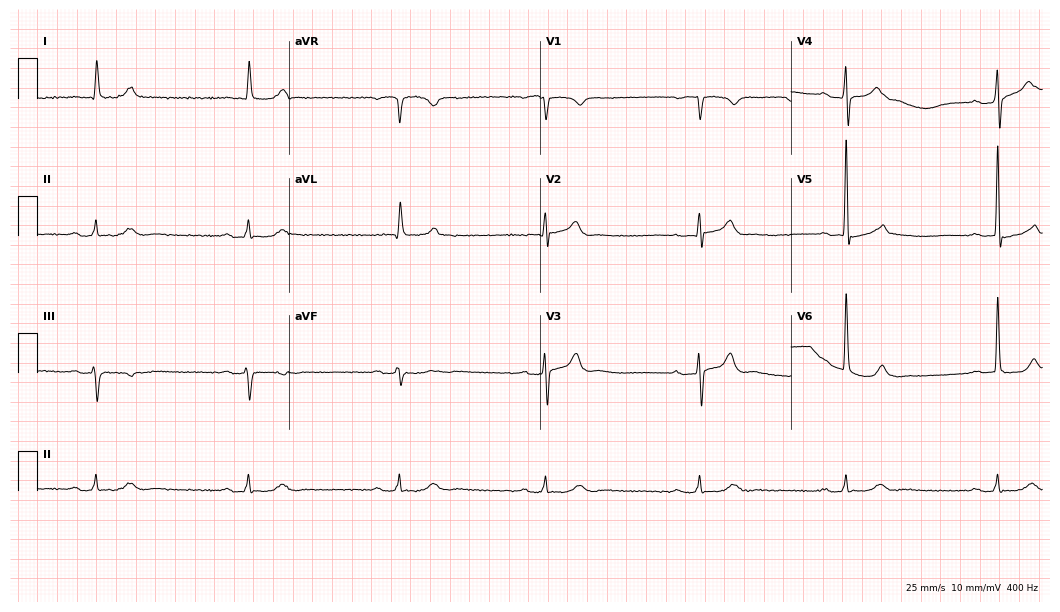
Resting 12-lead electrocardiogram (10.2-second recording at 400 Hz). Patient: an 85-year-old male. The tracing shows first-degree AV block, sinus bradycardia (a sinus rate of 50 beats per minute or less).